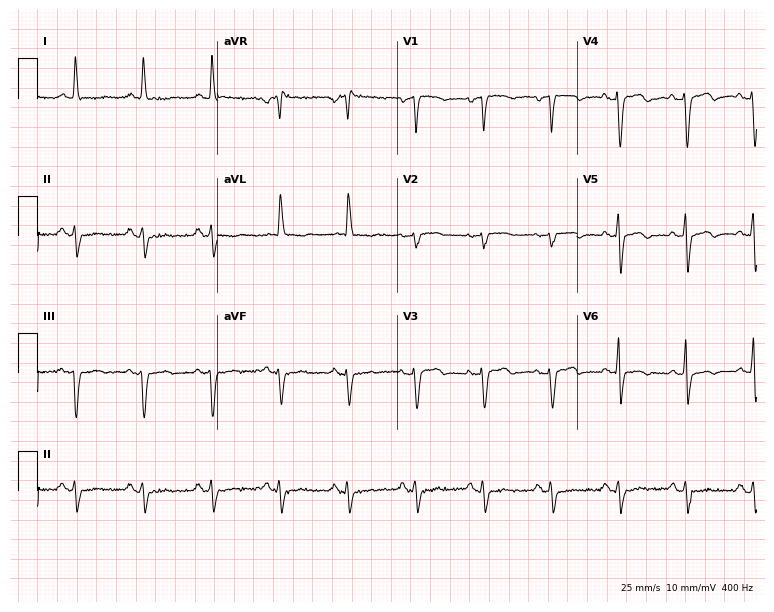
ECG — a female patient, 84 years old. Screened for six findings — first-degree AV block, right bundle branch block, left bundle branch block, sinus bradycardia, atrial fibrillation, sinus tachycardia — none is recorded. Findings outside these six are not listed.